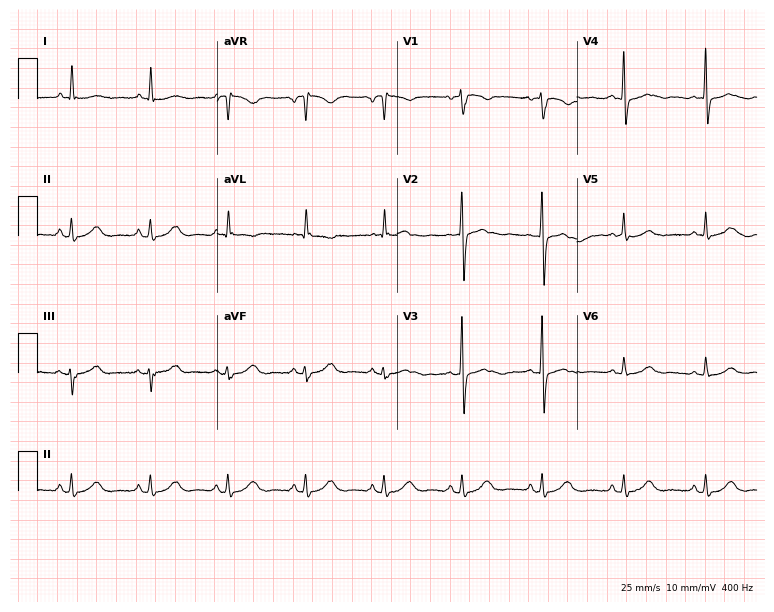
ECG — a 65-year-old woman. Labelled as a normal ECG.